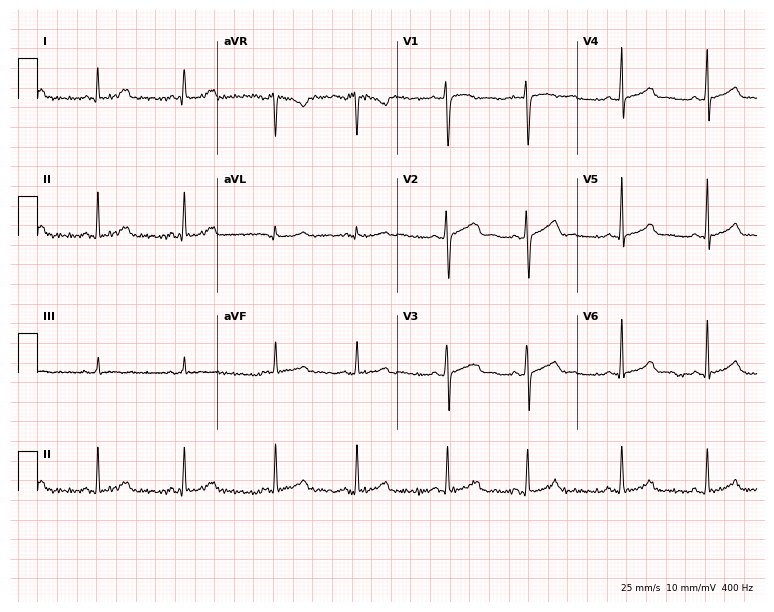
Electrocardiogram (7.3-second recording at 400 Hz), a 28-year-old woman. Overall reading on record: normal ECG.